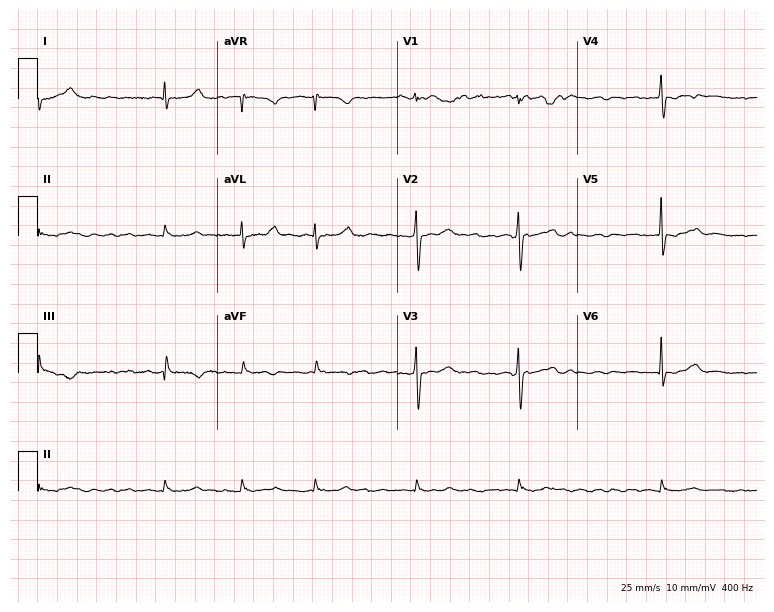
12-lead ECG from a female, 62 years old. Findings include atrial fibrillation.